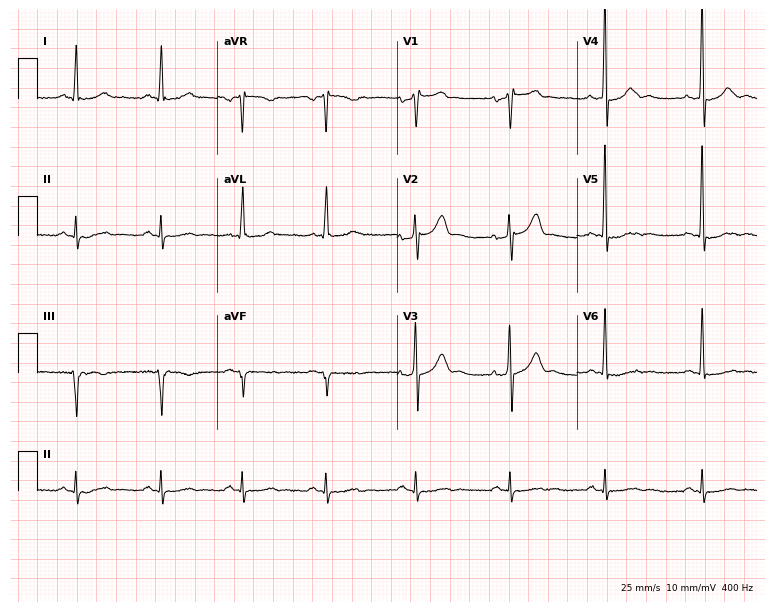
12-lead ECG from a 68-year-old male patient. Screened for six findings — first-degree AV block, right bundle branch block (RBBB), left bundle branch block (LBBB), sinus bradycardia, atrial fibrillation (AF), sinus tachycardia — none is recorded. Findings outside these six are not listed.